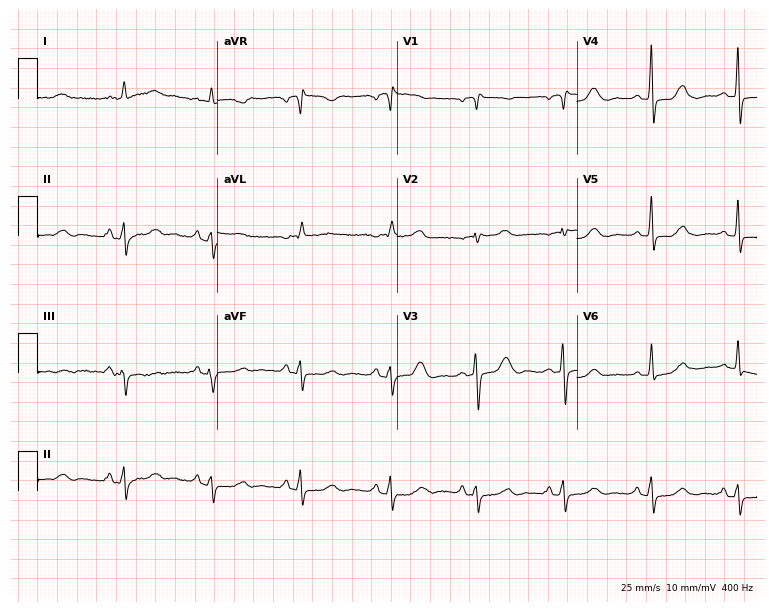
12-lead ECG from a female, 73 years old. Screened for six findings — first-degree AV block, right bundle branch block (RBBB), left bundle branch block (LBBB), sinus bradycardia, atrial fibrillation (AF), sinus tachycardia — none is recorded. Findings outside these six are not listed.